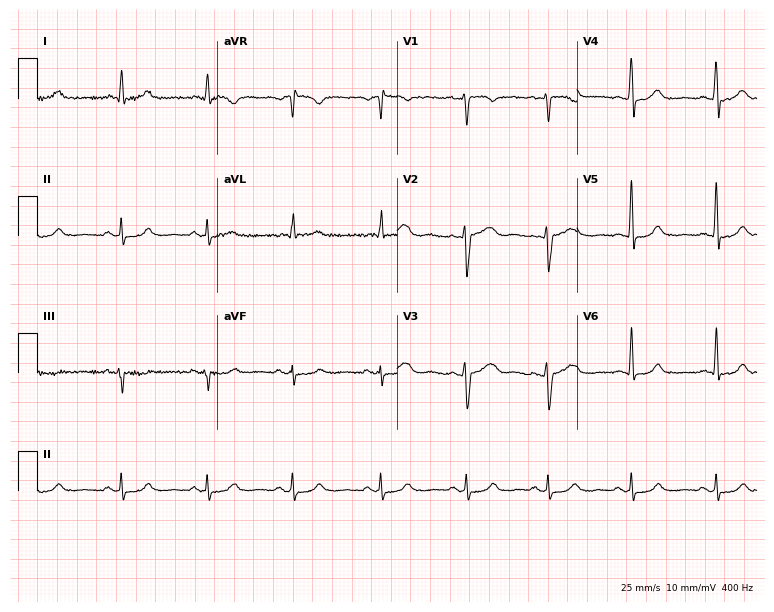
Standard 12-lead ECG recorded from a 35-year-old female patient. Read as a normal ECG.